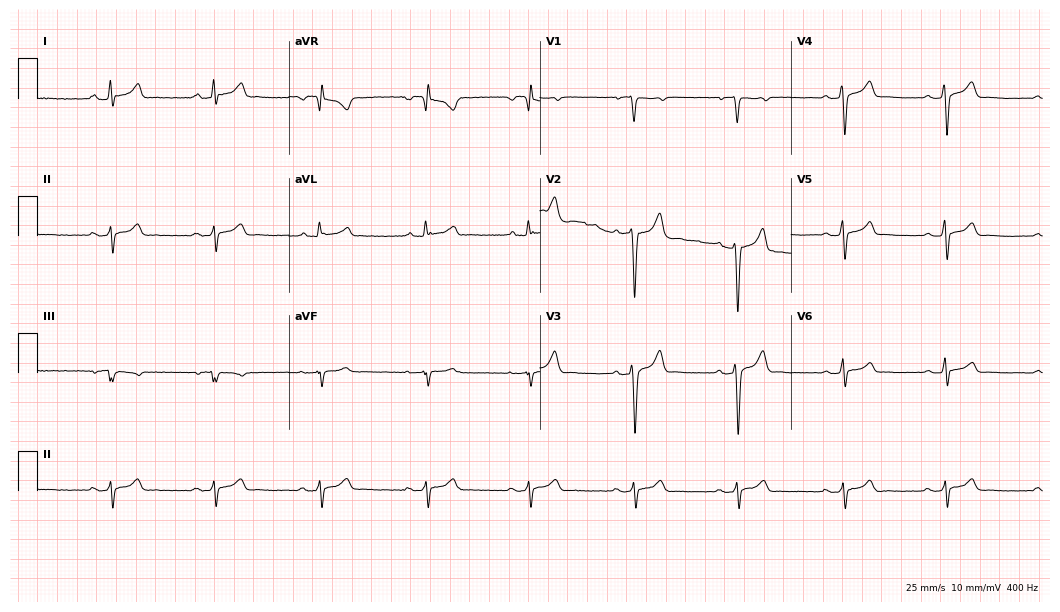
Electrocardiogram, a female, 78 years old. Of the six screened findings (first-degree AV block, right bundle branch block, left bundle branch block, sinus bradycardia, atrial fibrillation, sinus tachycardia), none is recorded.